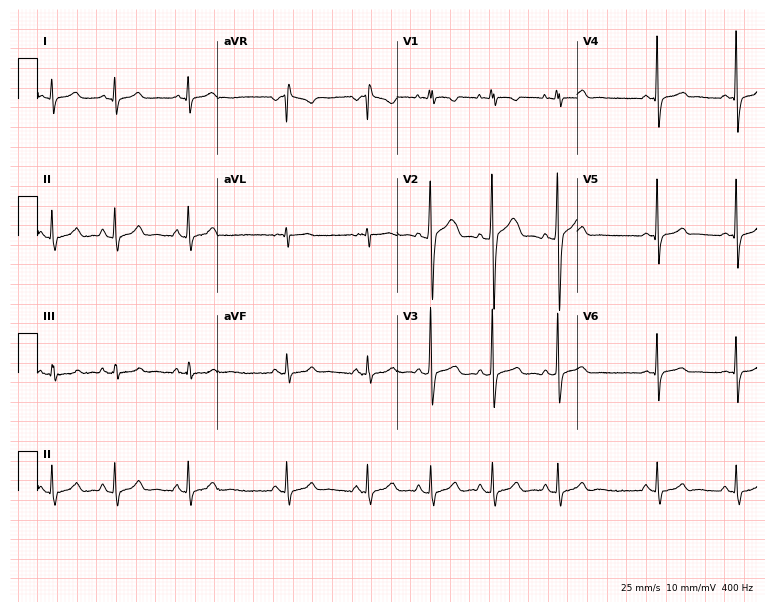
ECG — a man, 29 years old. Screened for six findings — first-degree AV block, right bundle branch block, left bundle branch block, sinus bradycardia, atrial fibrillation, sinus tachycardia — none is recorded.